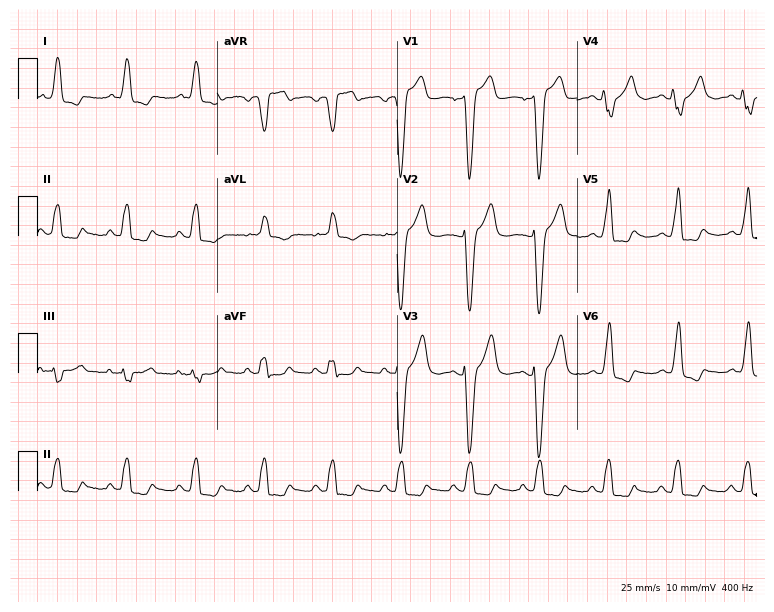
Resting 12-lead electrocardiogram. Patient: a male, 69 years old. The tracing shows left bundle branch block (LBBB).